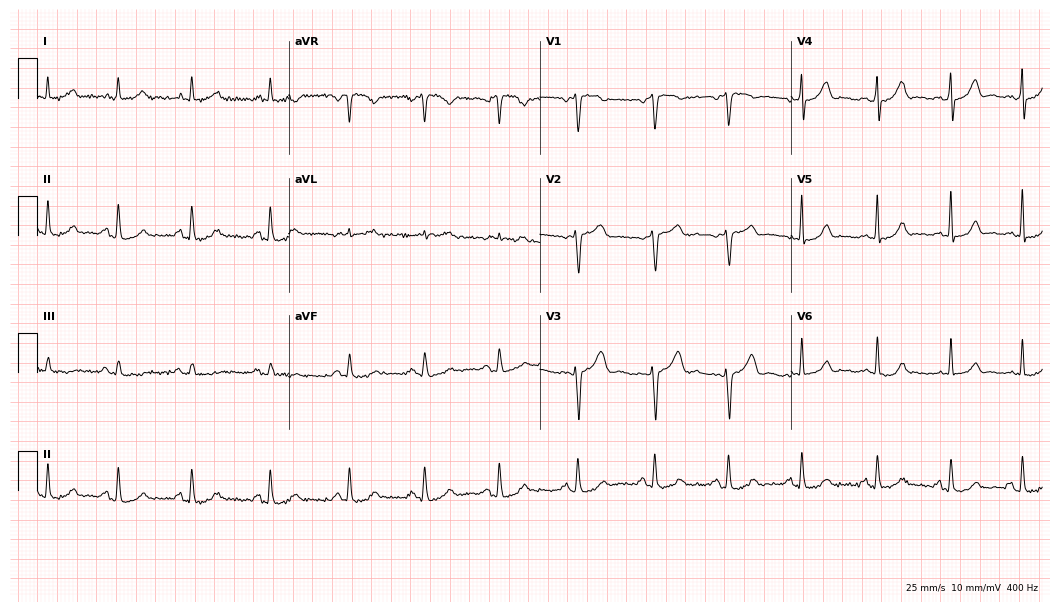
12-lead ECG from a 37-year-old female patient (10.2-second recording at 400 Hz). Recorded interpretation: within normal limits.